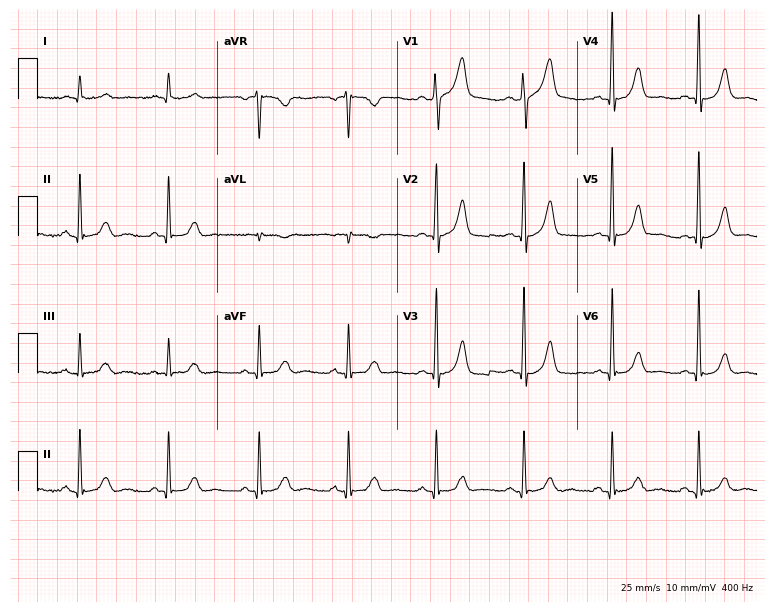
Resting 12-lead electrocardiogram. Patient: a man, 62 years old. Read as a normal ECG.